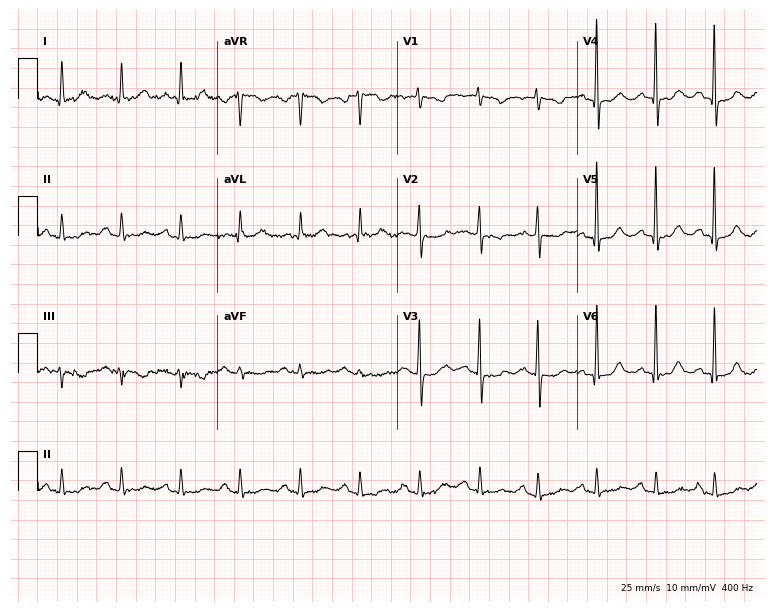
Resting 12-lead electrocardiogram. Patient: a woman, 67 years old. None of these six findings is recorded: first-degree AV block, right bundle branch block, left bundle branch block, sinus bradycardia, atrial fibrillation, sinus tachycardia. Other findings, if any, are not listed.